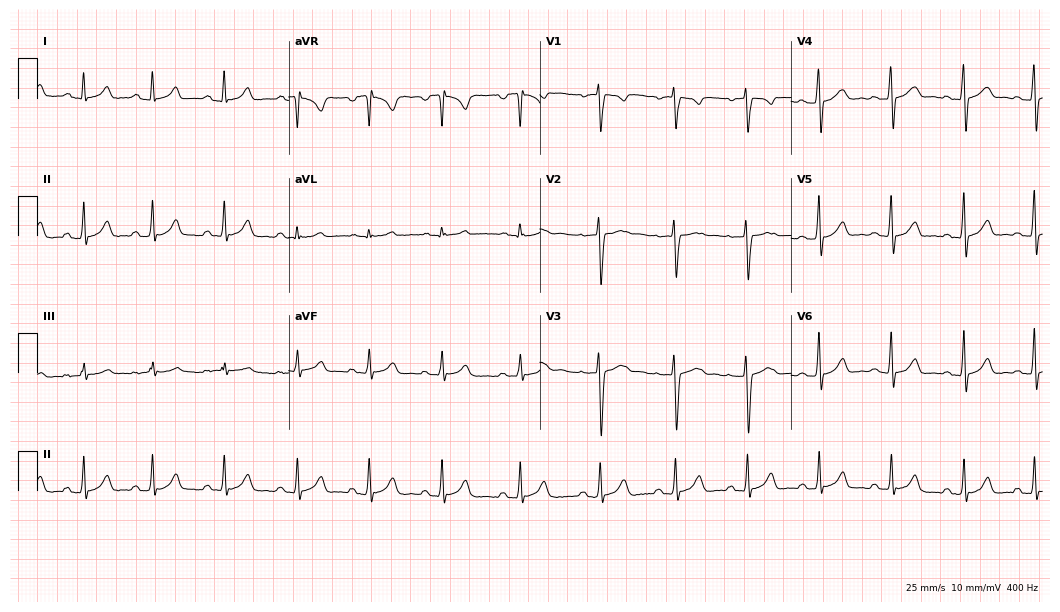
12-lead ECG from a female patient, 25 years old (10.2-second recording at 400 Hz). Recorded interpretation: within normal limits.